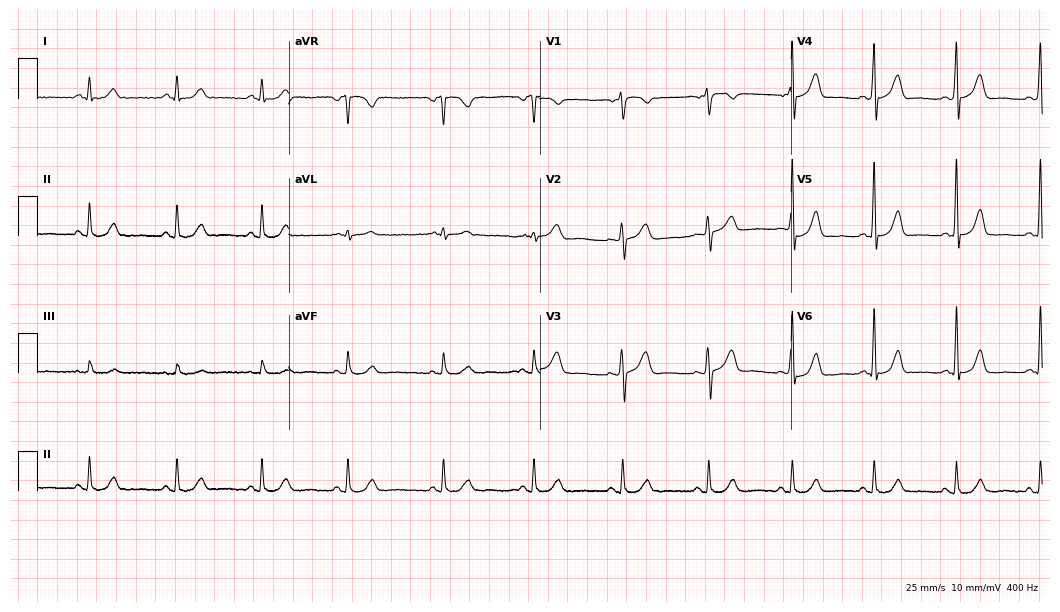
ECG (10.2-second recording at 400 Hz) — a 73-year-old man. Screened for six findings — first-degree AV block, right bundle branch block (RBBB), left bundle branch block (LBBB), sinus bradycardia, atrial fibrillation (AF), sinus tachycardia — none is recorded.